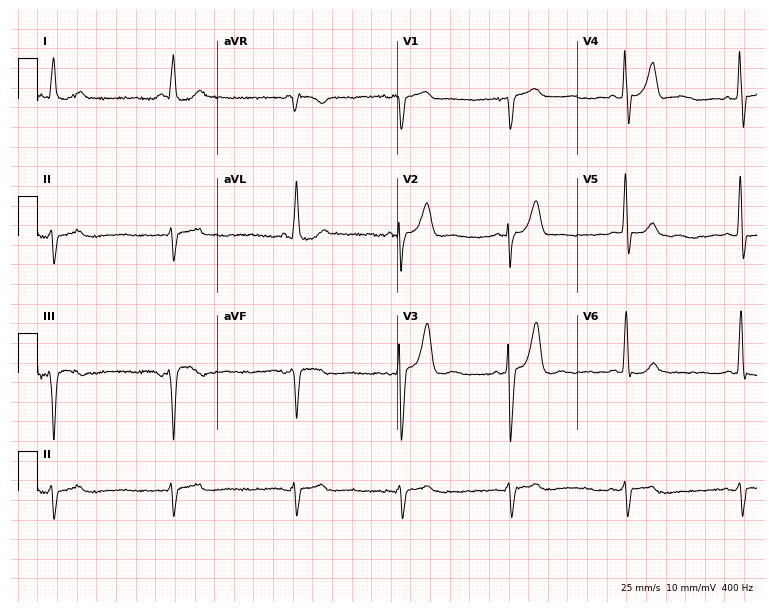
Standard 12-lead ECG recorded from a male patient, 59 years old. None of these six findings is recorded: first-degree AV block, right bundle branch block, left bundle branch block, sinus bradycardia, atrial fibrillation, sinus tachycardia. Other findings, if any, are not listed.